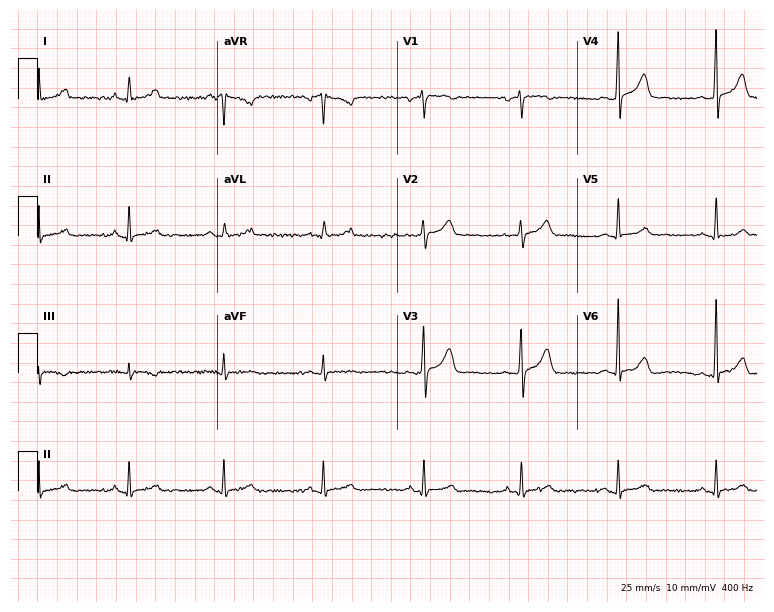
ECG (7.3-second recording at 400 Hz) — a 45-year-old woman. Labelled as a normal ECG.